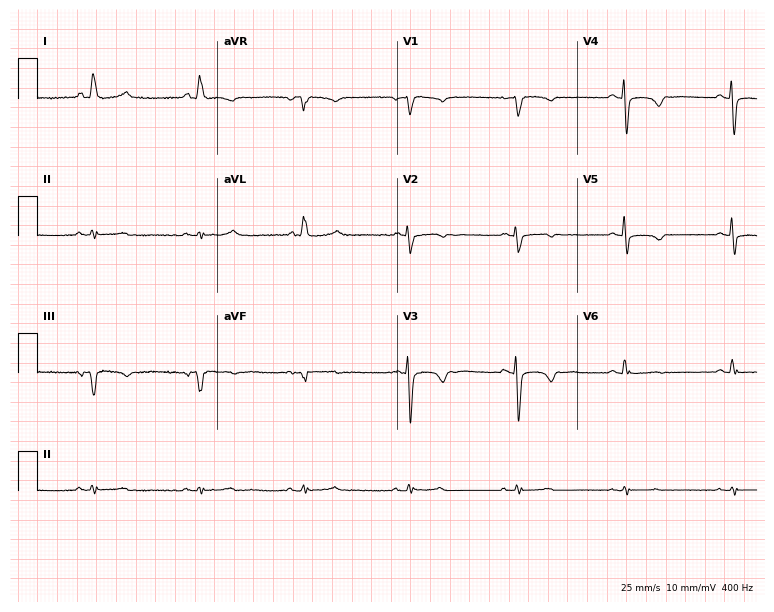
ECG (7.3-second recording at 400 Hz) — a female, 65 years old. Screened for six findings — first-degree AV block, right bundle branch block, left bundle branch block, sinus bradycardia, atrial fibrillation, sinus tachycardia — none is recorded. Other findings, if any, are not listed.